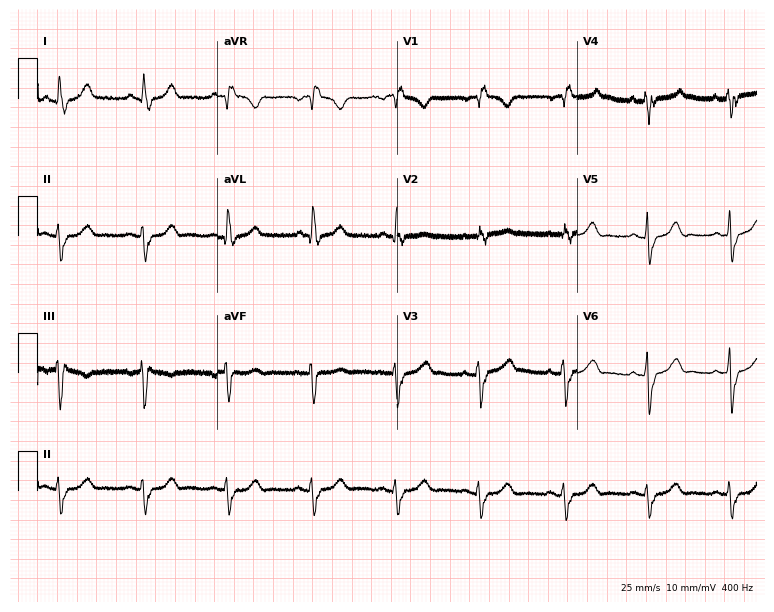
Electrocardiogram (7.3-second recording at 400 Hz), a male patient, 82 years old. Of the six screened findings (first-degree AV block, right bundle branch block, left bundle branch block, sinus bradycardia, atrial fibrillation, sinus tachycardia), none is recorded.